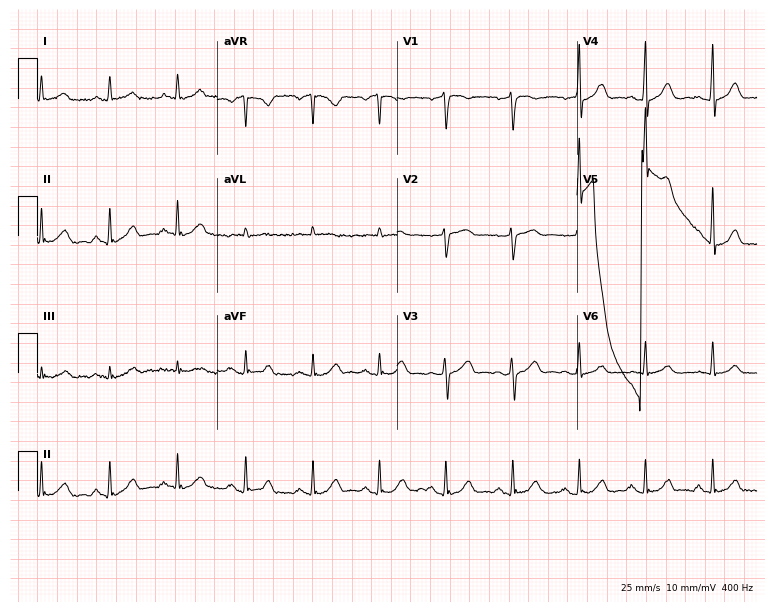
12-lead ECG from a 54-year-old female (7.3-second recording at 400 Hz). Recorded interpretation: within normal limits.